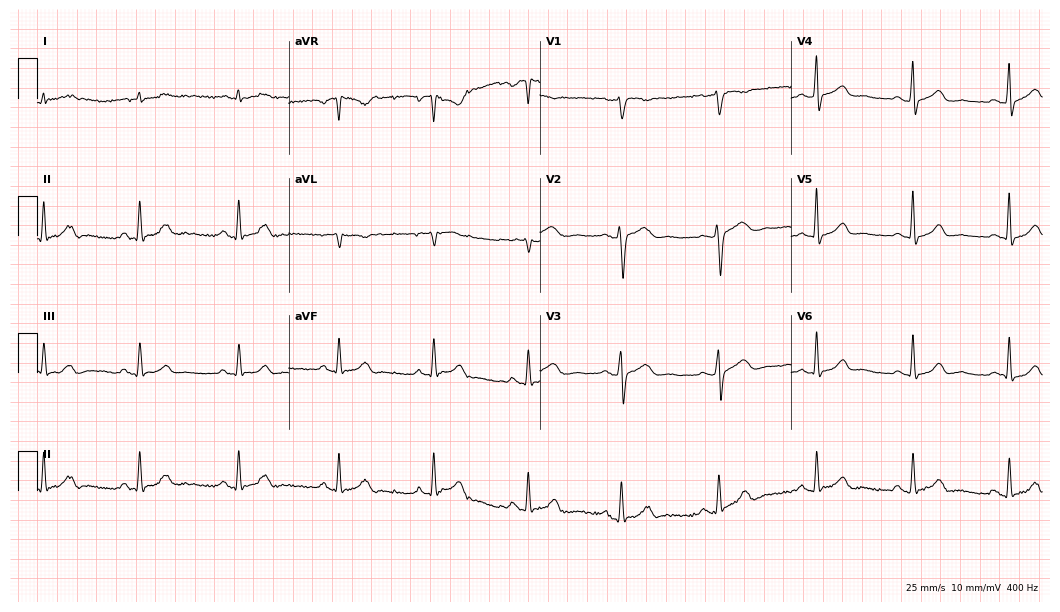
ECG (10.2-second recording at 400 Hz) — a 51-year-old female patient. Labelled as a normal ECG.